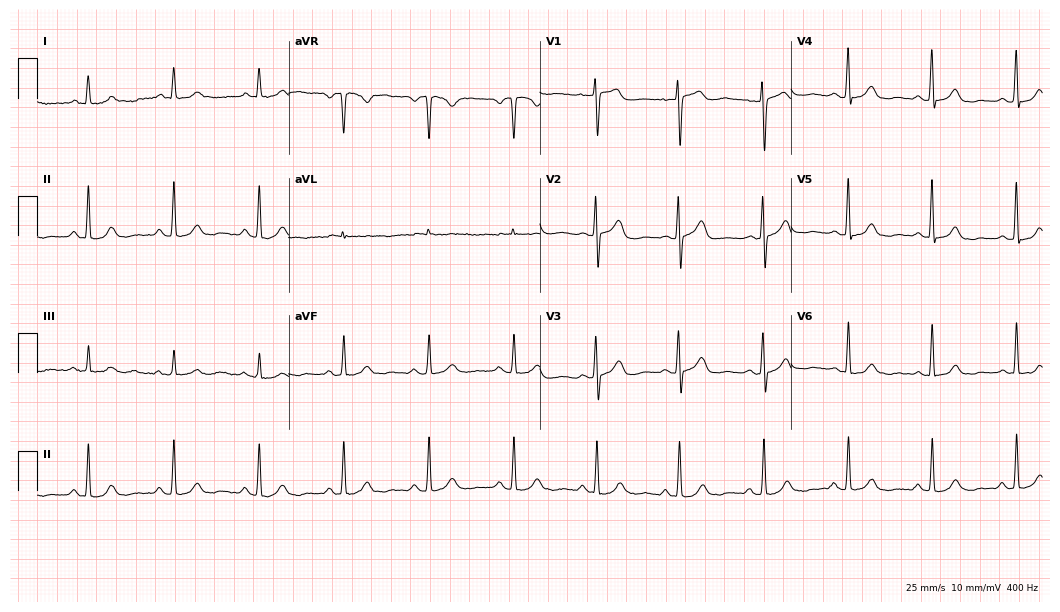
ECG — a female patient, 71 years old. Labelled as a normal ECG.